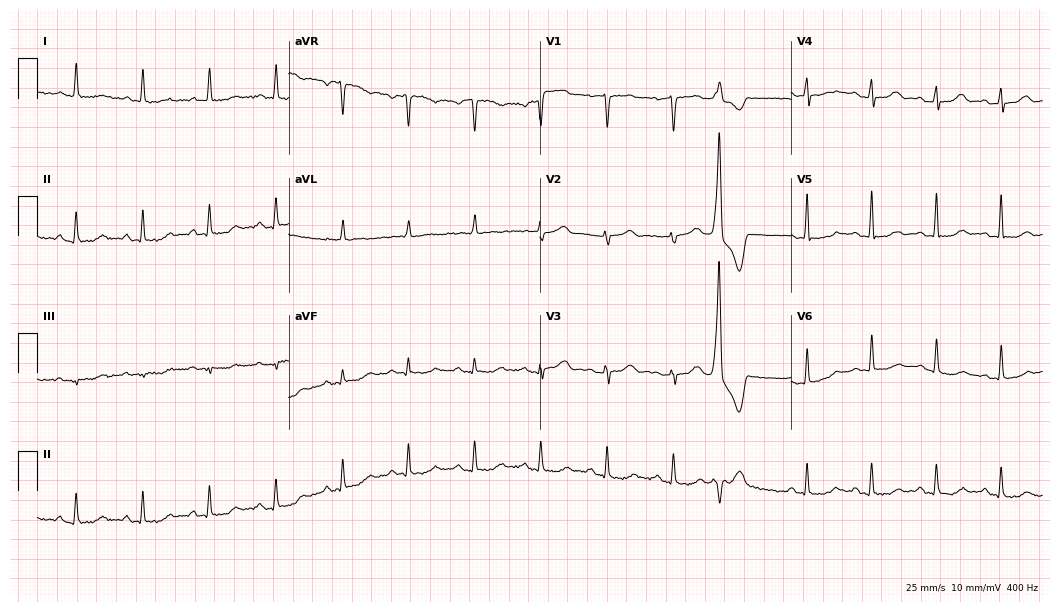
ECG — a woman, 66 years old. Screened for six findings — first-degree AV block, right bundle branch block (RBBB), left bundle branch block (LBBB), sinus bradycardia, atrial fibrillation (AF), sinus tachycardia — none is recorded. Findings outside these six are not listed.